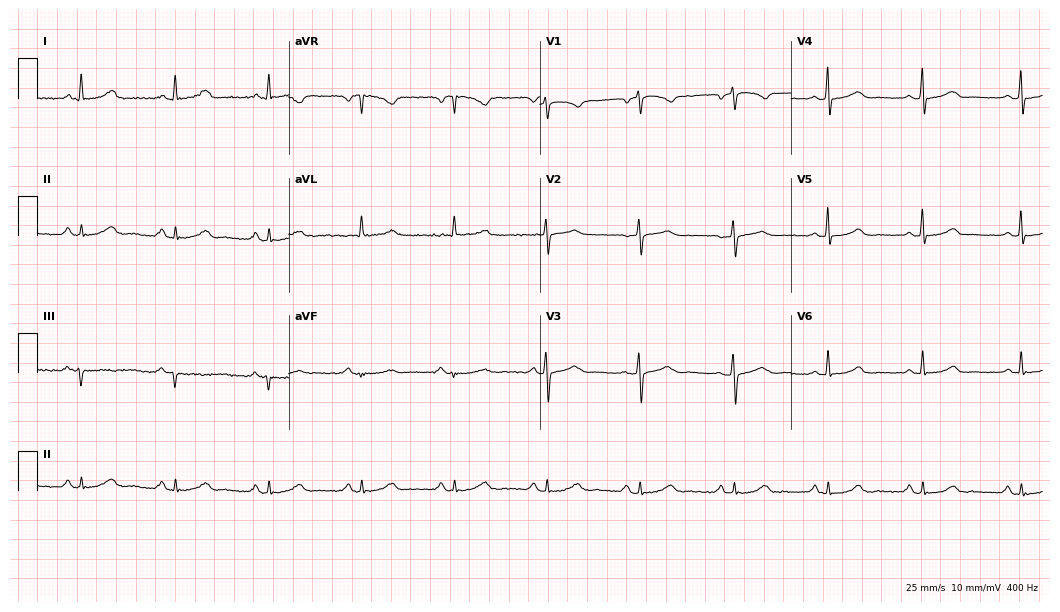
ECG (10.2-second recording at 400 Hz) — a 58-year-old male. Labelled as a normal ECG.